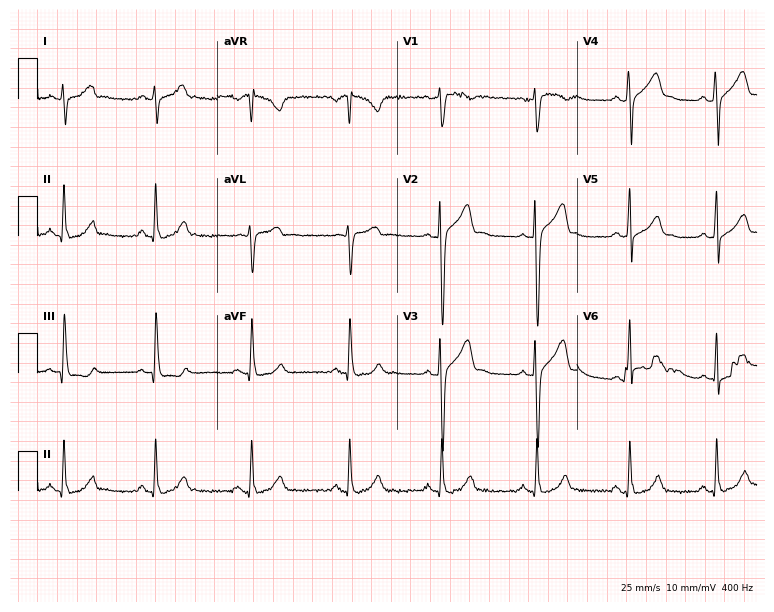
Standard 12-lead ECG recorded from a male, 31 years old (7.3-second recording at 400 Hz). None of these six findings is recorded: first-degree AV block, right bundle branch block, left bundle branch block, sinus bradycardia, atrial fibrillation, sinus tachycardia.